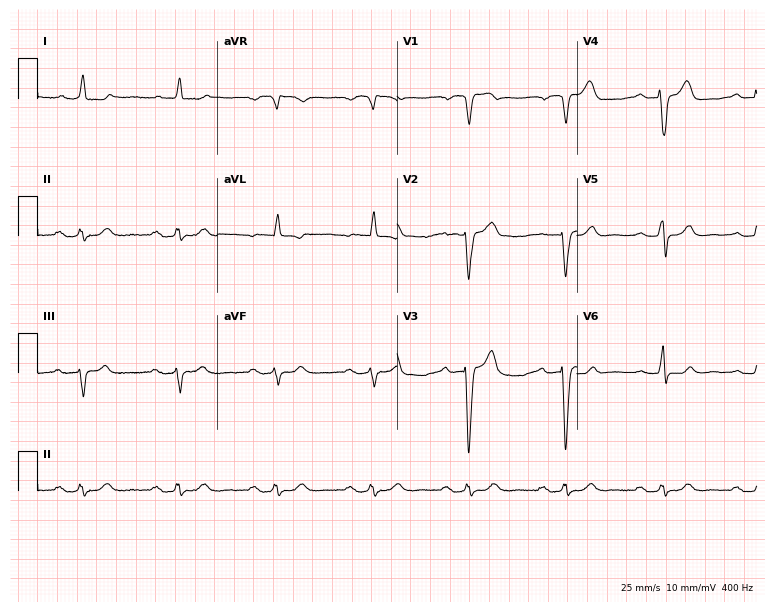
Electrocardiogram, a male patient, 84 years old. Interpretation includes left bundle branch block.